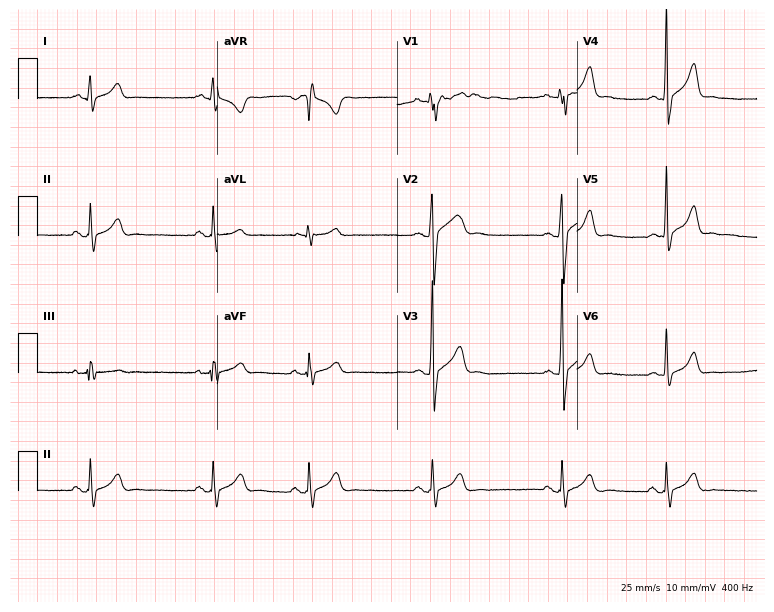
Standard 12-lead ECG recorded from a 17-year-old man. Read as a normal ECG.